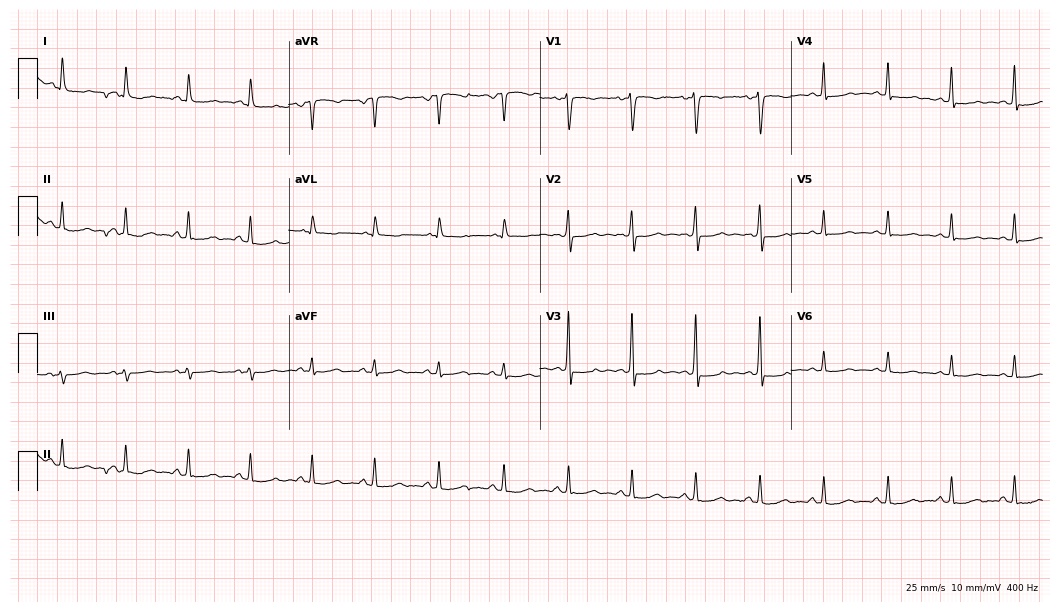
Electrocardiogram, a 47-year-old woman. Of the six screened findings (first-degree AV block, right bundle branch block, left bundle branch block, sinus bradycardia, atrial fibrillation, sinus tachycardia), none is recorded. Only these six findings were labelled.